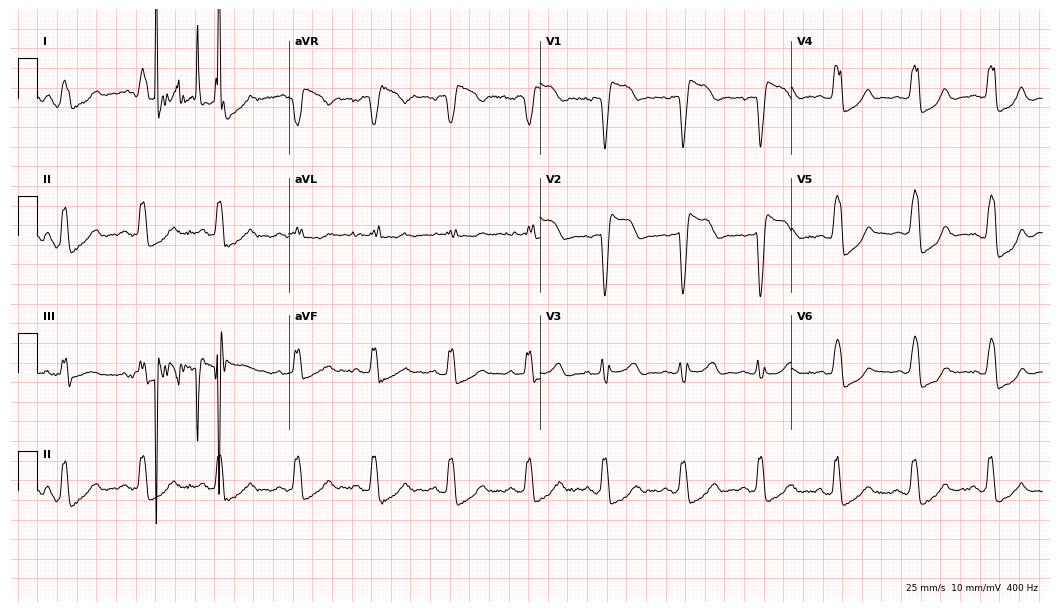
Electrocardiogram, a female patient, 82 years old. Of the six screened findings (first-degree AV block, right bundle branch block (RBBB), left bundle branch block (LBBB), sinus bradycardia, atrial fibrillation (AF), sinus tachycardia), none is recorded.